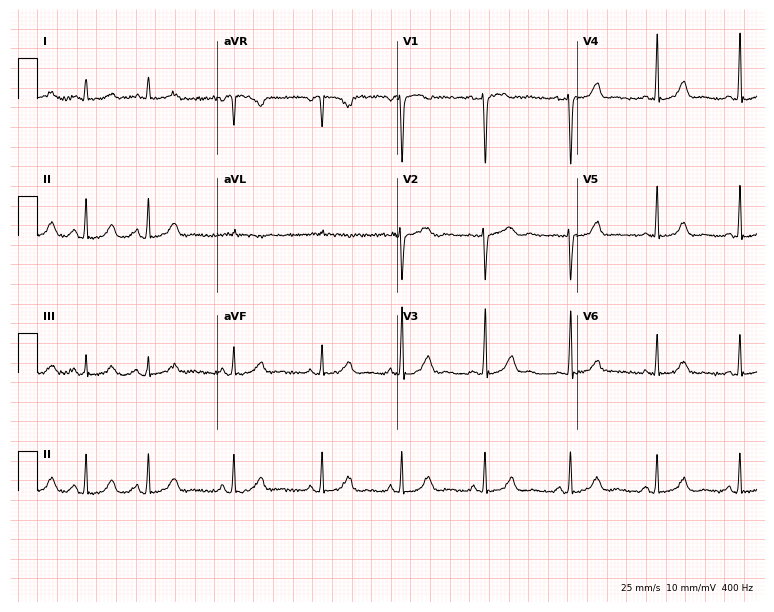
Resting 12-lead electrocardiogram. Patient: a female, 32 years old. Read as a normal ECG.